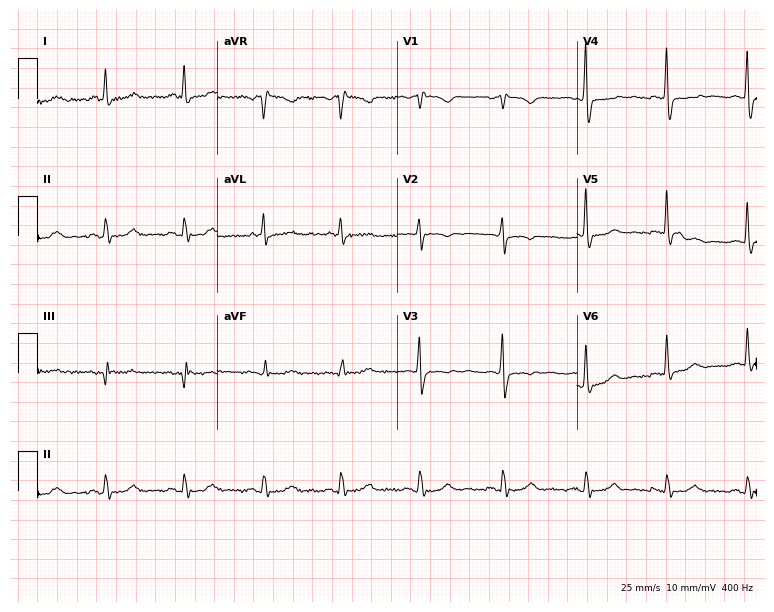
Standard 12-lead ECG recorded from a 66-year-old female patient (7.3-second recording at 400 Hz). None of these six findings is recorded: first-degree AV block, right bundle branch block (RBBB), left bundle branch block (LBBB), sinus bradycardia, atrial fibrillation (AF), sinus tachycardia. Only these six findings were labelled.